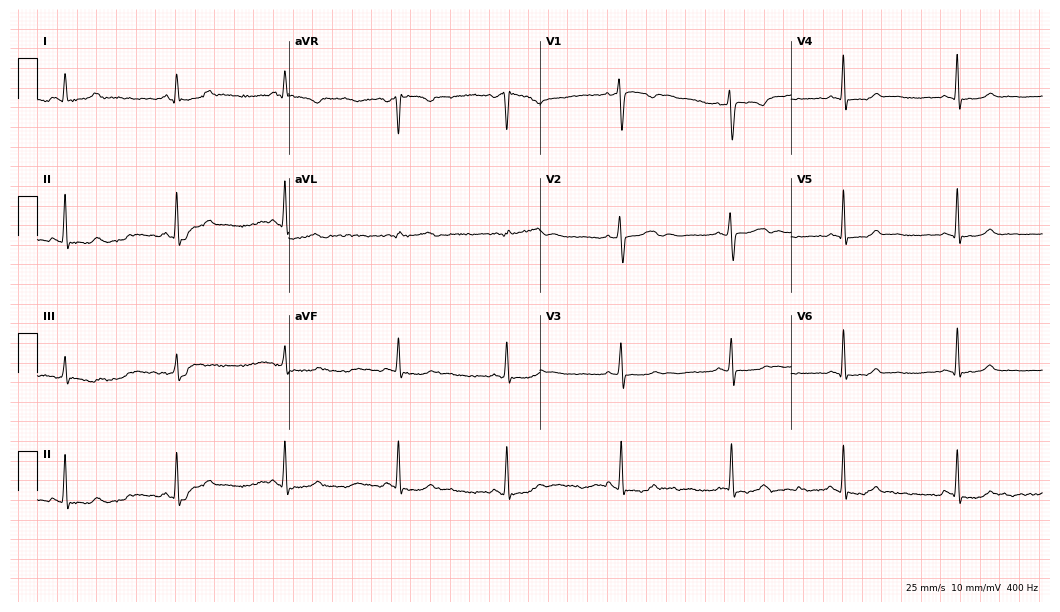
Electrocardiogram (10.2-second recording at 400 Hz), a 29-year-old female patient. Of the six screened findings (first-degree AV block, right bundle branch block, left bundle branch block, sinus bradycardia, atrial fibrillation, sinus tachycardia), none is recorded.